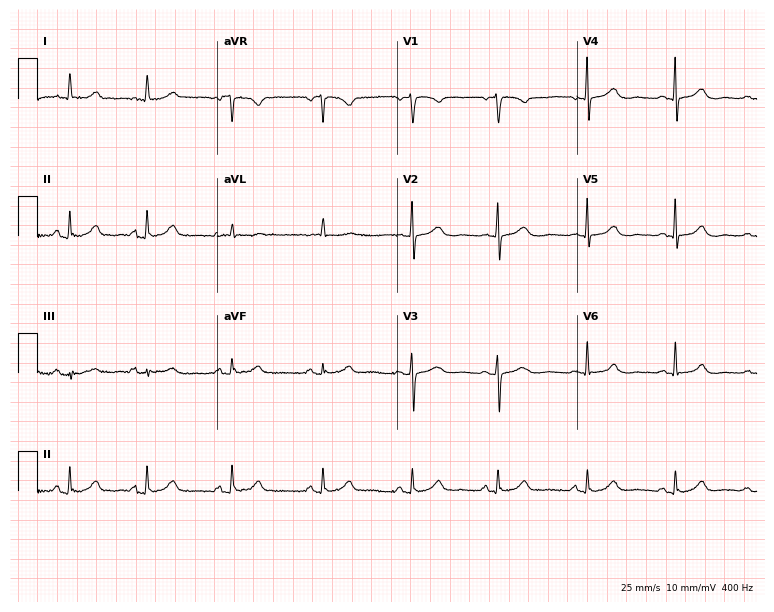
Resting 12-lead electrocardiogram (7.3-second recording at 400 Hz). Patient: a 69-year-old female. Read as a normal ECG.